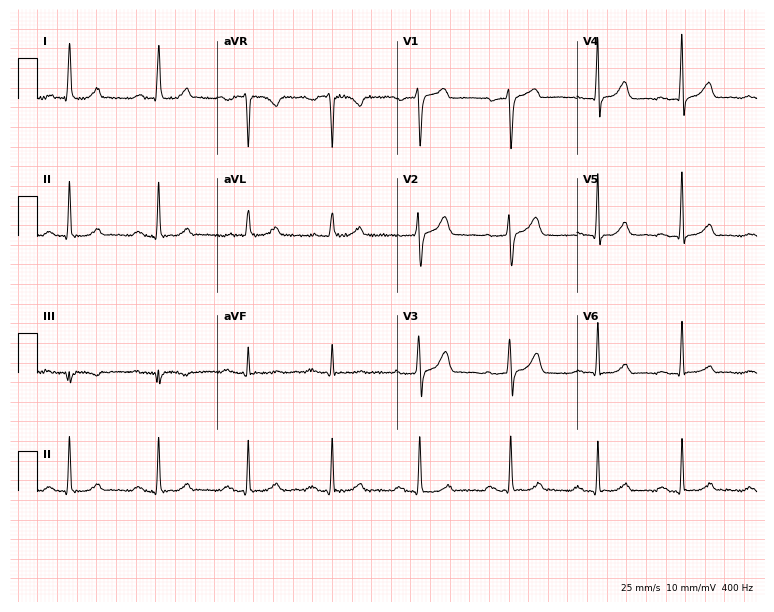
Electrocardiogram, a female patient, 55 years old. Of the six screened findings (first-degree AV block, right bundle branch block, left bundle branch block, sinus bradycardia, atrial fibrillation, sinus tachycardia), none is recorded. Only these six findings were labelled.